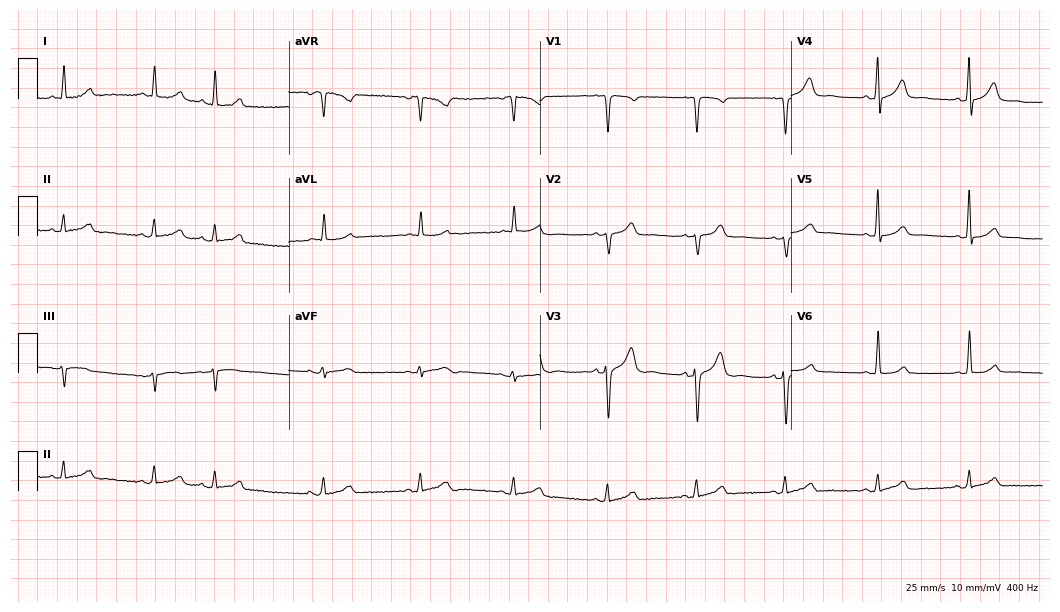
Electrocardiogram, a 69-year-old female patient. Of the six screened findings (first-degree AV block, right bundle branch block (RBBB), left bundle branch block (LBBB), sinus bradycardia, atrial fibrillation (AF), sinus tachycardia), none is recorded.